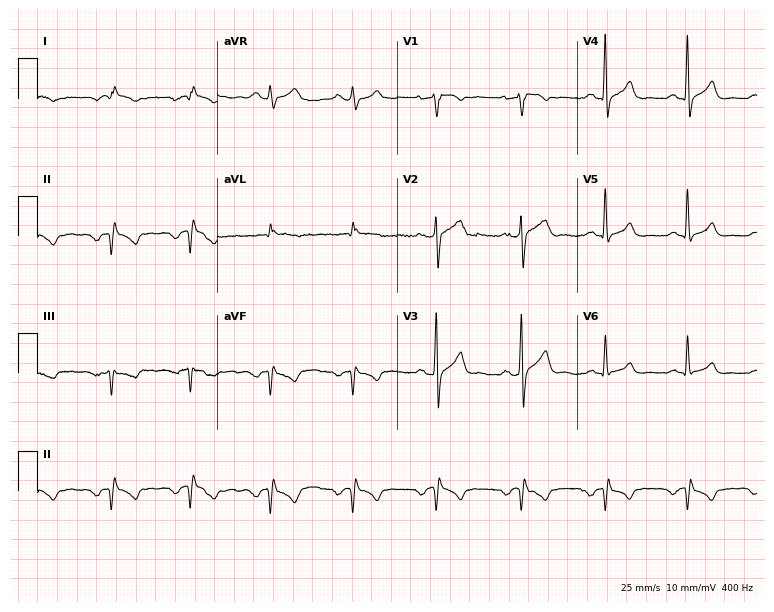
Resting 12-lead electrocardiogram (7.3-second recording at 400 Hz). Patient: a man, 62 years old. None of these six findings is recorded: first-degree AV block, right bundle branch block, left bundle branch block, sinus bradycardia, atrial fibrillation, sinus tachycardia. Other findings, if any, are not listed.